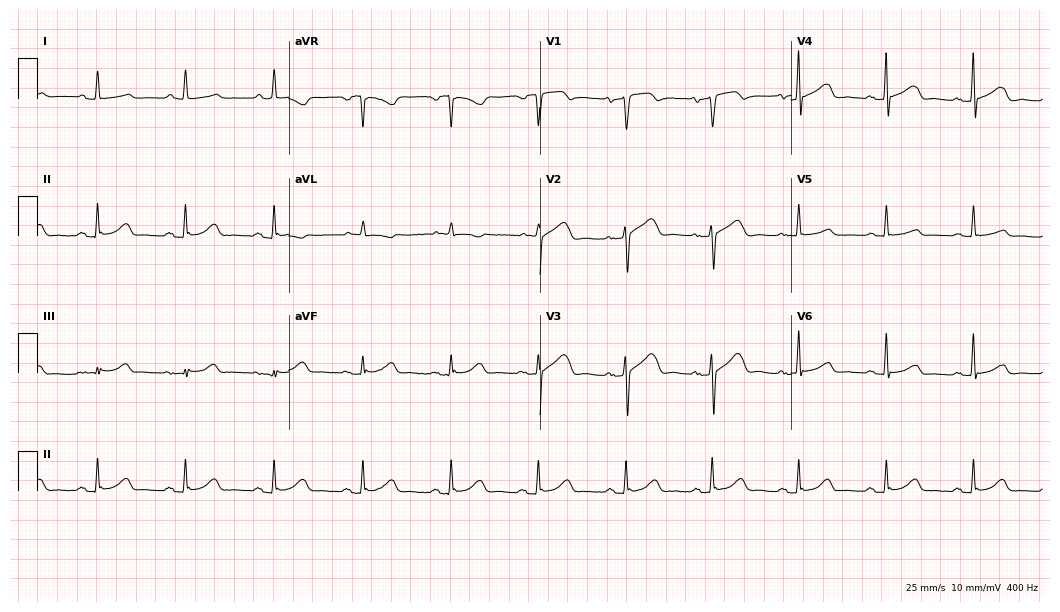
ECG — a woman, 77 years old. Labelled as a normal ECG.